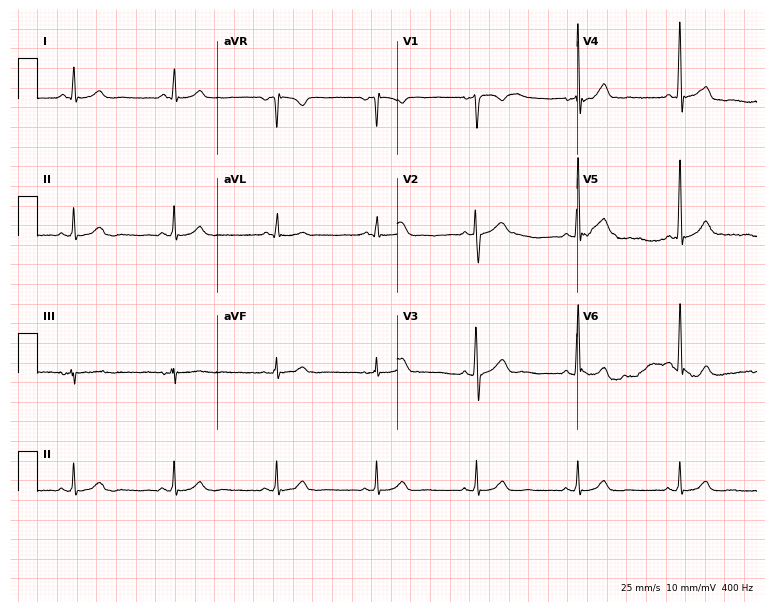
Resting 12-lead electrocardiogram (7.3-second recording at 400 Hz). Patient: a man, 60 years old. Read as a normal ECG.